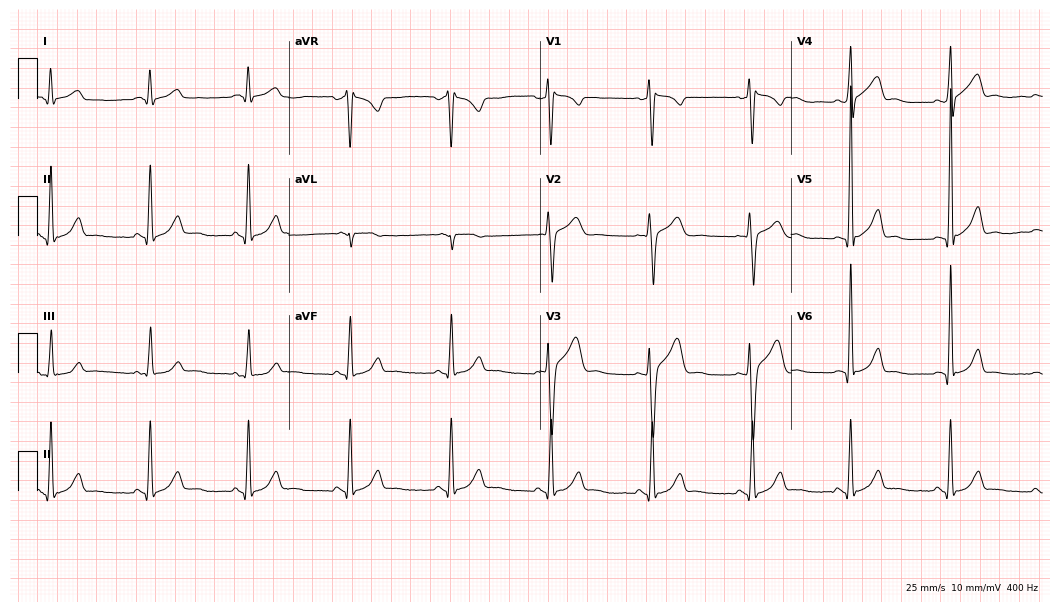
12-lead ECG from a male, 27 years old (10.2-second recording at 400 Hz). Recorded interpretation: within normal limits.